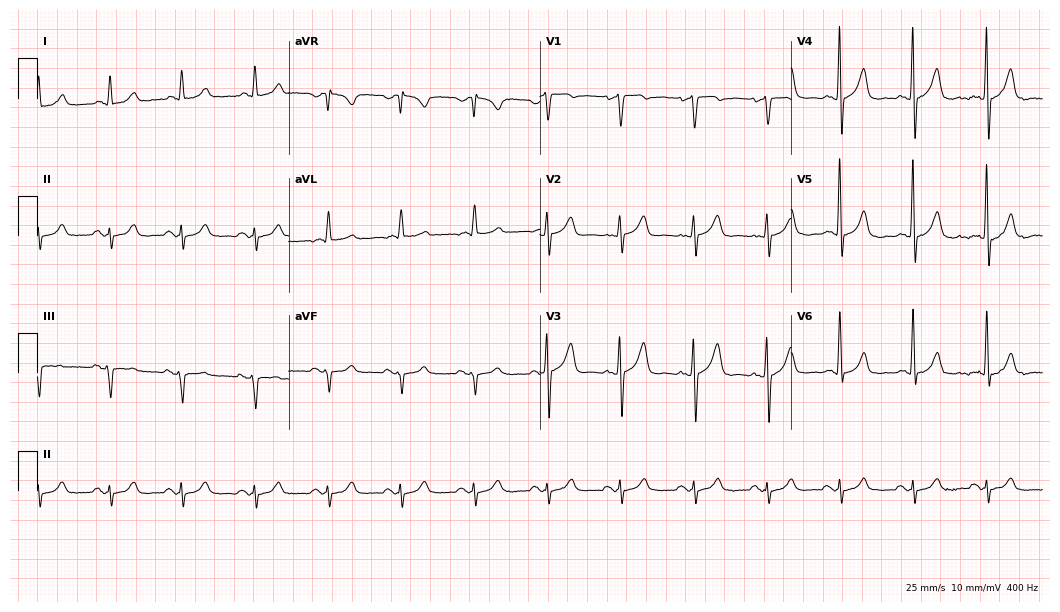
Electrocardiogram, a male, 79 years old. Of the six screened findings (first-degree AV block, right bundle branch block, left bundle branch block, sinus bradycardia, atrial fibrillation, sinus tachycardia), none is recorded.